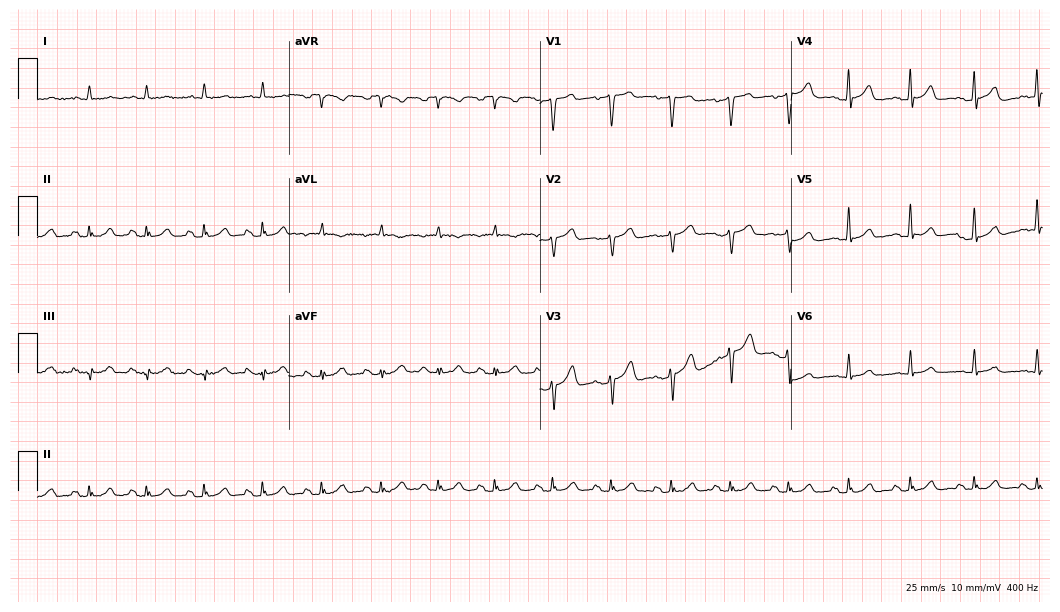
12-lead ECG from a male patient, 67 years old. Recorded interpretation: within normal limits.